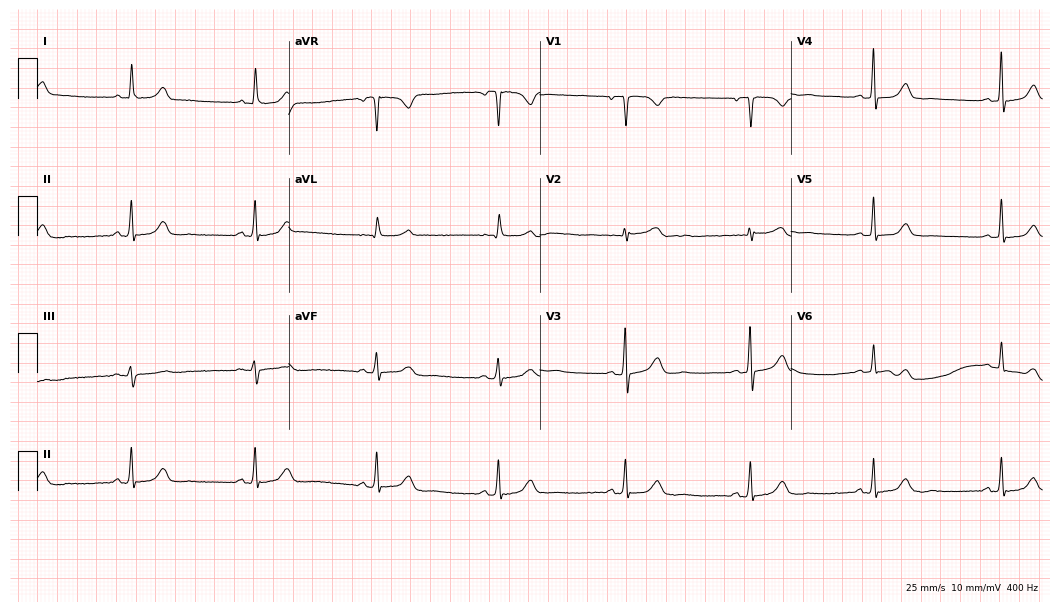
Electrocardiogram, a 64-year-old female patient. Of the six screened findings (first-degree AV block, right bundle branch block, left bundle branch block, sinus bradycardia, atrial fibrillation, sinus tachycardia), none is recorded.